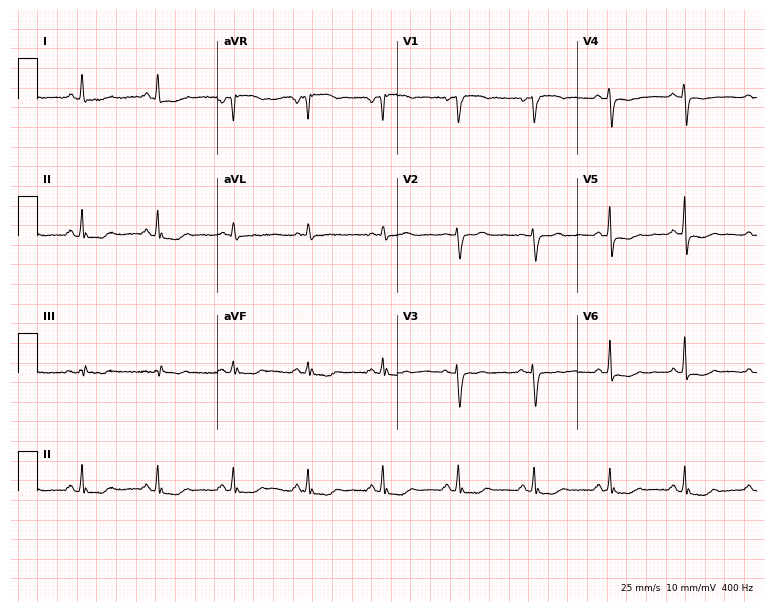
Resting 12-lead electrocardiogram. Patient: a female, 63 years old. None of these six findings is recorded: first-degree AV block, right bundle branch block, left bundle branch block, sinus bradycardia, atrial fibrillation, sinus tachycardia. Findings outside these six are not listed.